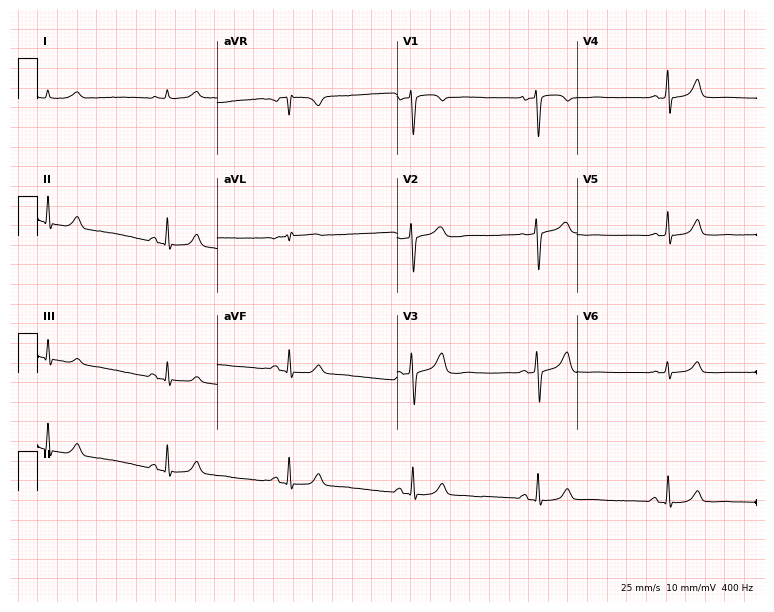
12-lead ECG from a man, 64 years old (7.3-second recording at 400 Hz). Shows sinus bradycardia (a sinus rate of 50 beats per minute or less).